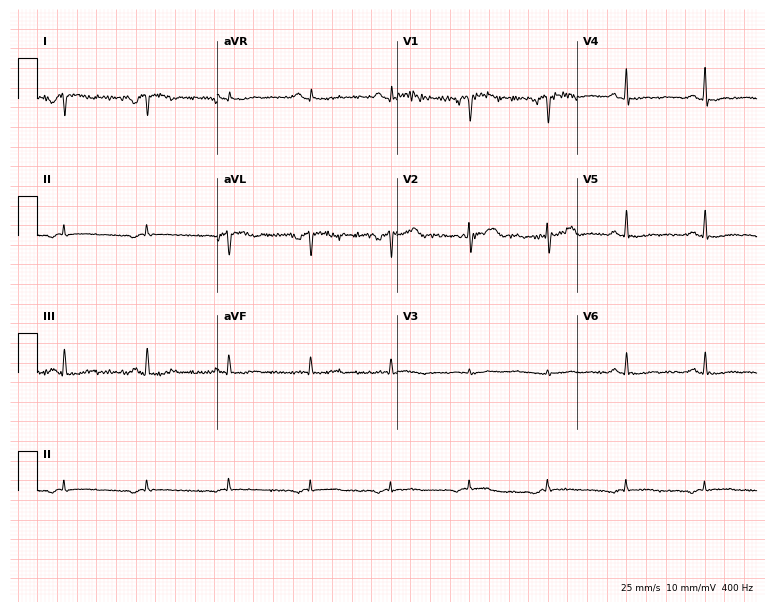
Resting 12-lead electrocardiogram. Patient: a 64-year-old male. None of these six findings is recorded: first-degree AV block, right bundle branch block, left bundle branch block, sinus bradycardia, atrial fibrillation, sinus tachycardia.